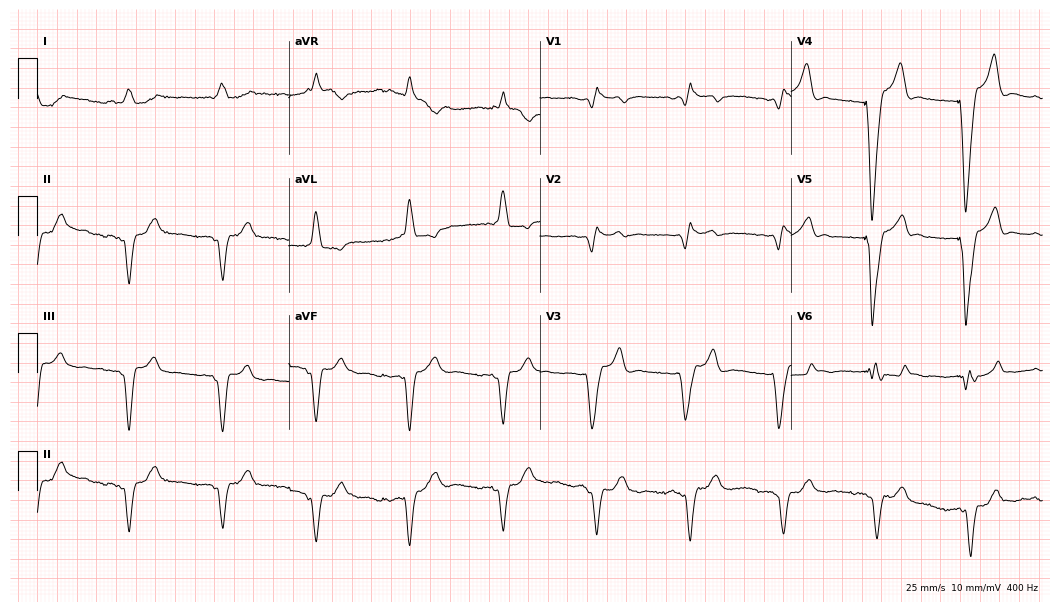
Standard 12-lead ECG recorded from a male, 74 years old. None of these six findings is recorded: first-degree AV block, right bundle branch block, left bundle branch block, sinus bradycardia, atrial fibrillation, sinus tachycardia.